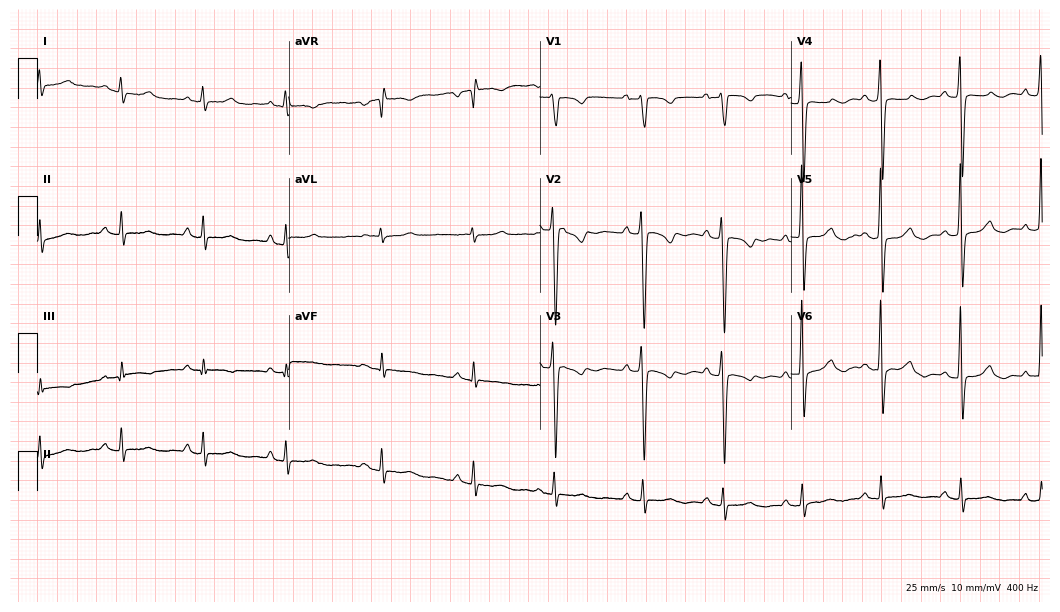
Standard 12-lead ECG recorded from a male patient, 78 years old (10.2-second recording at 400 Hz). None of these six findings is recorded: first-degree AV block, right bundle branch block (RBBB), left bundle branch block (LBBB), sinus bradycardia, atrial fibrillation (AF), sinus tachycardia.